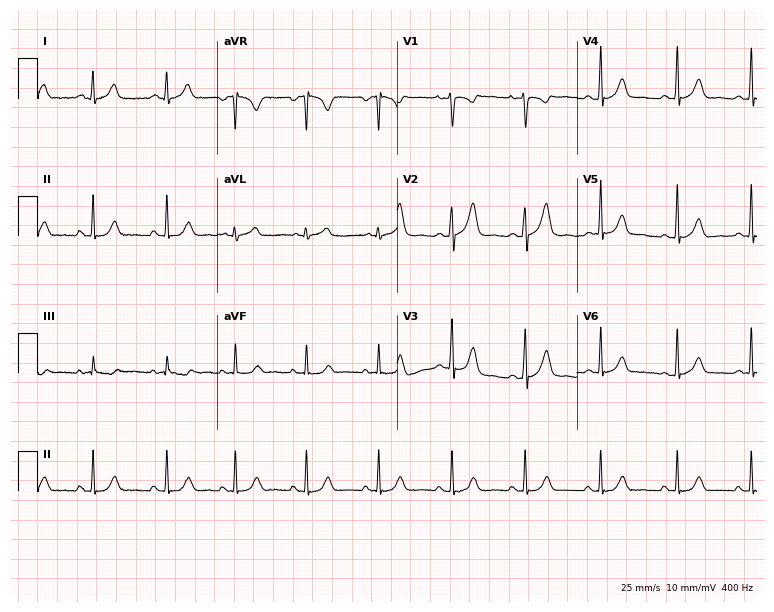
12-lead ECG from a 23-year-old female (7.3-second recording at 400 Hz). No first-degree AV block, right bundle branch block, left bundle branch block, sinus bradycardia, atrial fibrillation or sinus tachycardia recorded for this tracing.